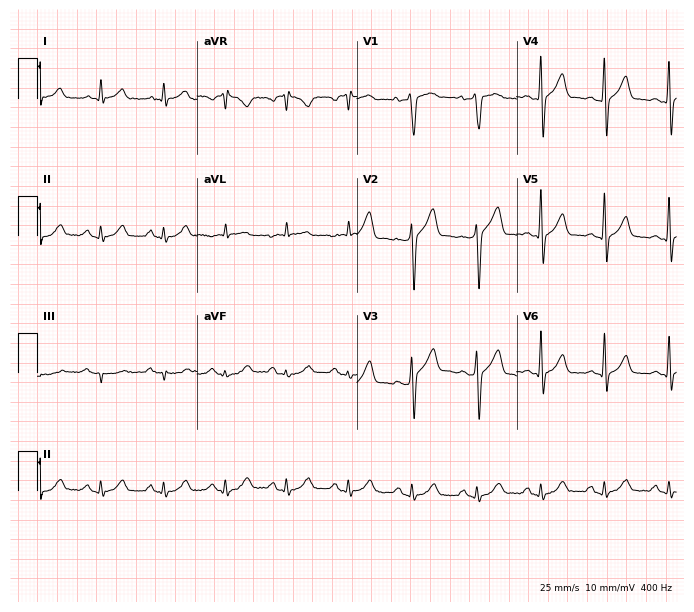
ECG (6.5-second recording at 400 Hz) — a man, 45 years old. Labelled as a normal ECG.